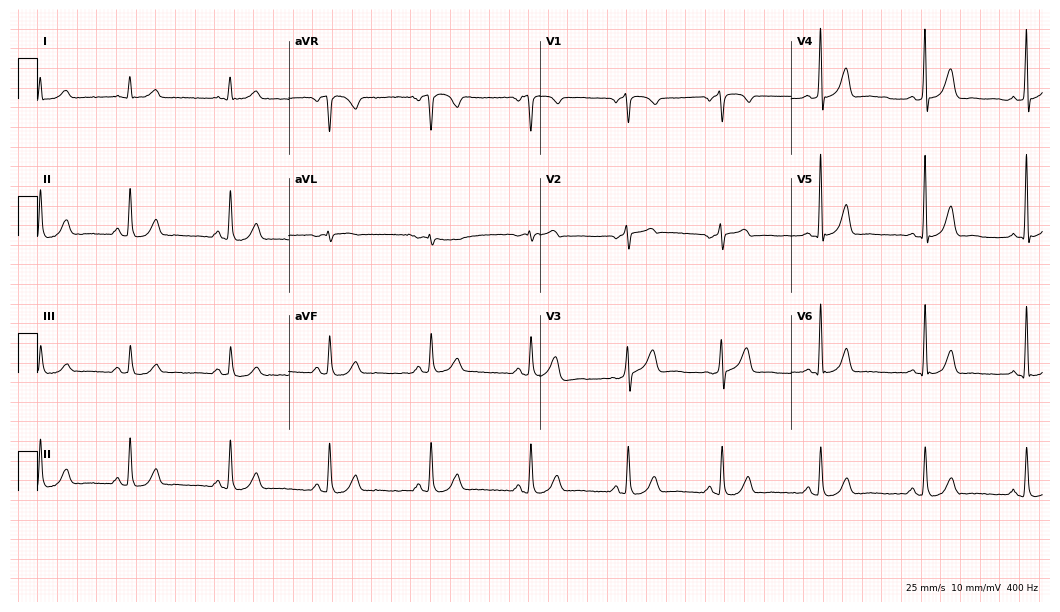
12-lead ECG from a 53-year-old man. Labelled as a normal ECG.